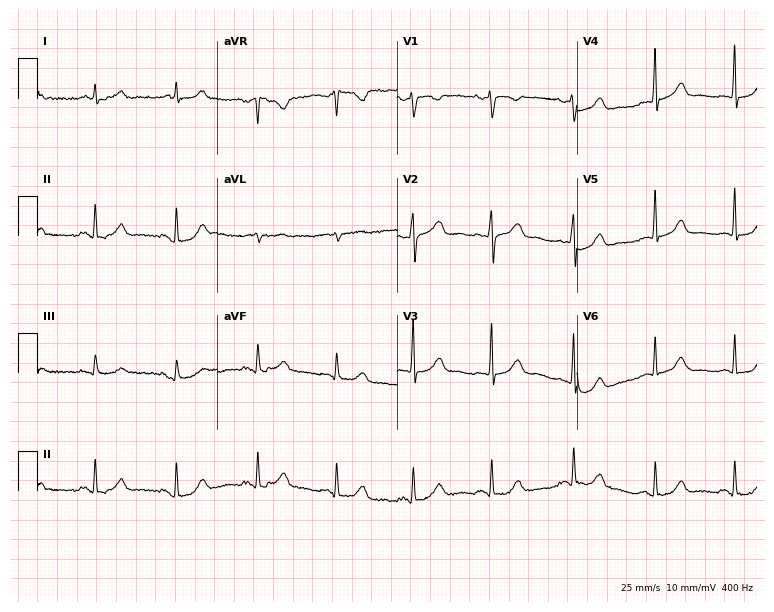
12-lead ECG from a woman, 53 years old. Recorded interpretation: within normal limits.